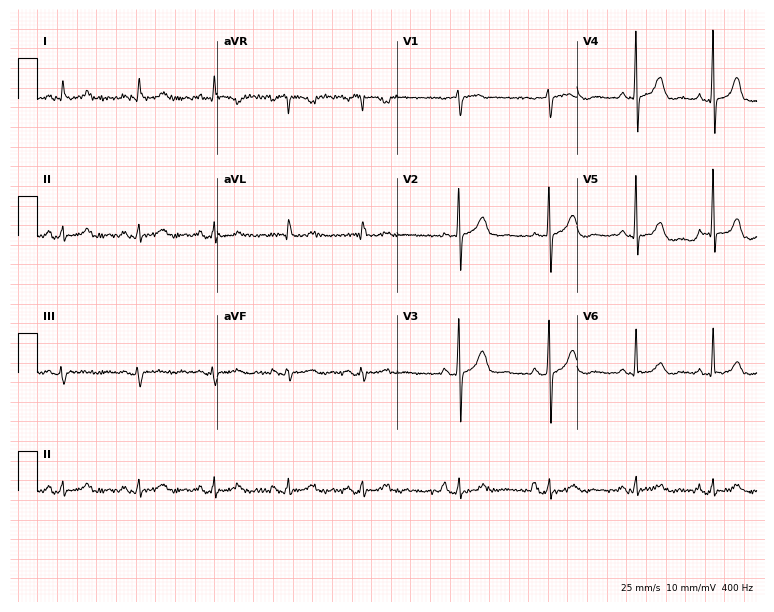
Electrocardiogram (7.3-second recording at 400 Hz), a male, 82 years old. Overall reading on record: normal ECG.